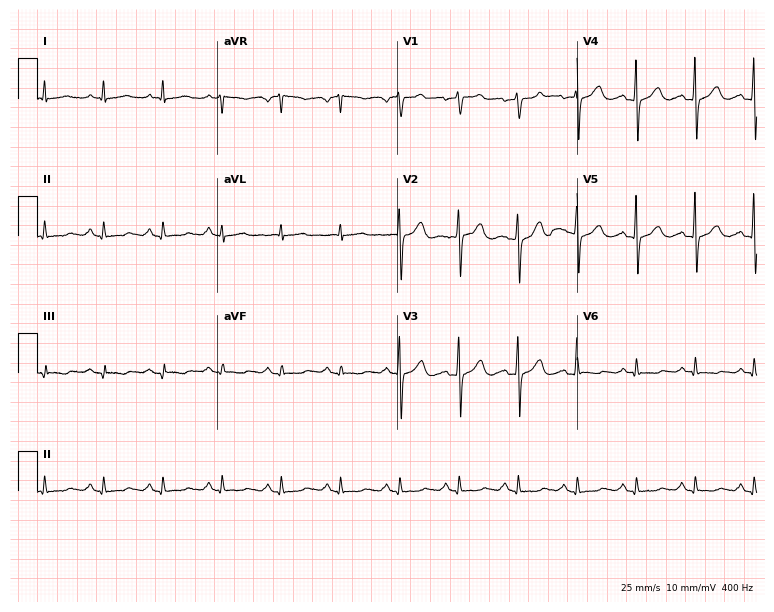
Resting 12-lead electrocardiogram. Patient: a man, 81 years old. None of these six findings is recorded: first-degree AV block, right bundle branch block, left bundle branch block, sinus bradycardia, atrial fibrillation, sinus tachycardia.